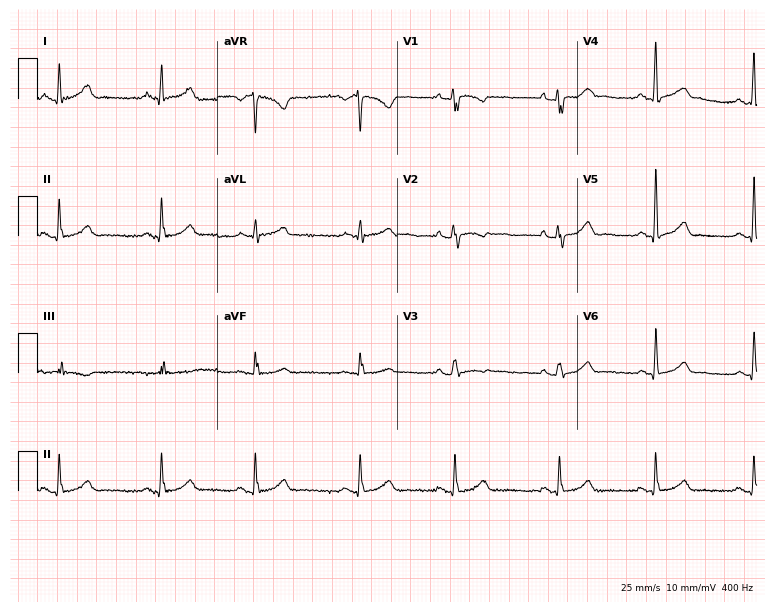
ECG — a woman, 31 years old. Labelled as a normal ECG.